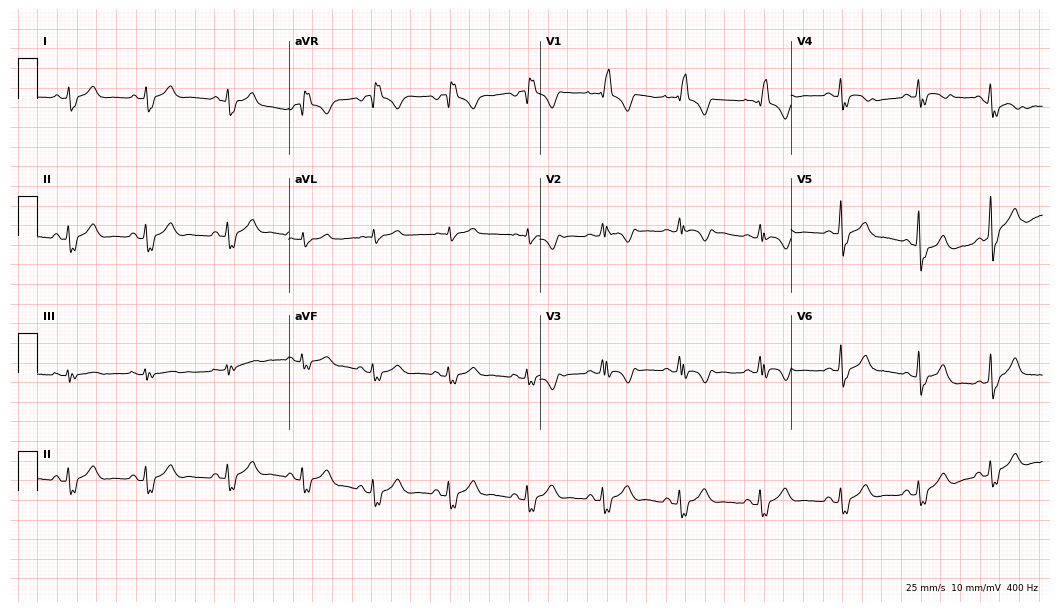
12-lead ECG from a 23-year-old female (10.2-second recording at 400 Hz). Shows right bundle branch block (RBBB).